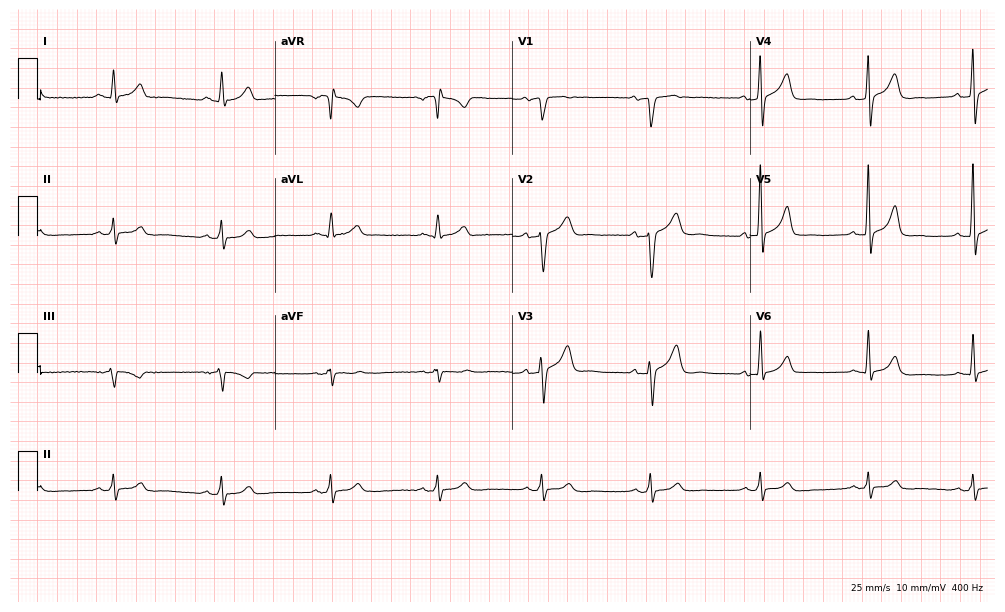
Standard 12-lead ECG recorded from a male patient, 69 years old. Read as a normal ECG.